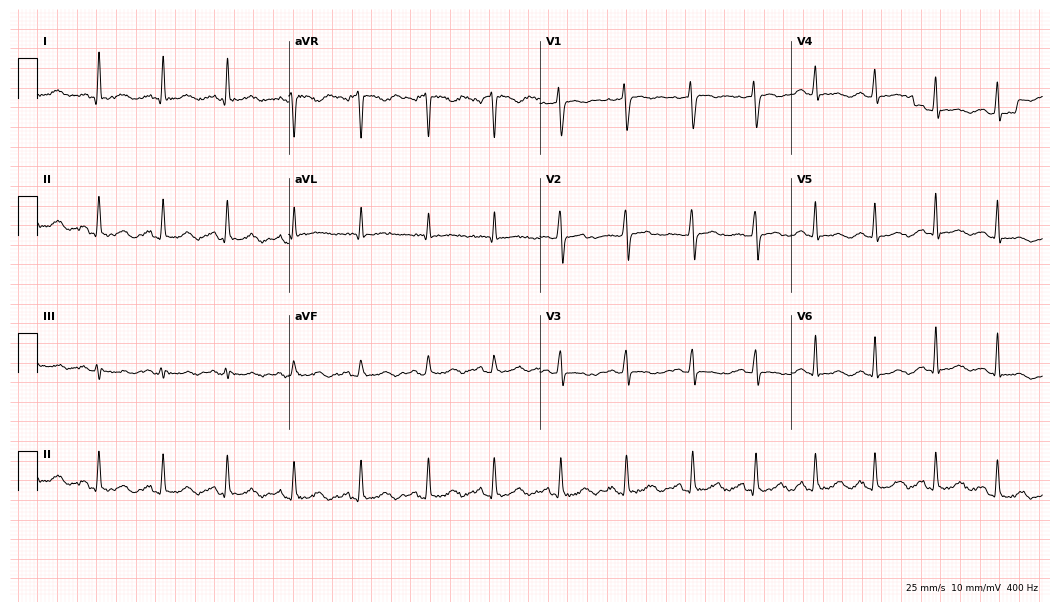
ECG (10.2-second recording at 400 Hz) — a female, 54 years old. Screened for six findings — first-degree AV block, right bundle branch block, left bundle branch block, sinus bradycardia, atrial fibrillation, sinus tachycardia — none is recorded.